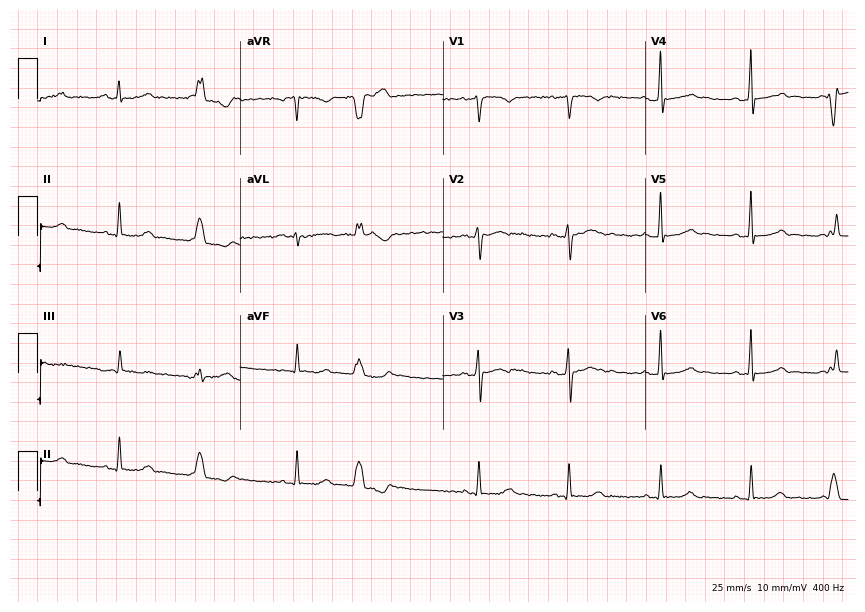
Electrocardiogram (8.3-second recording at 400 Hz), a female, 43 years old. Of the six screened findings (first-degree AV block, right bundle branch block (RBBB), left bundle branch block (LBBB), sinus bradycardia, atrial fibrillation (AF), sinus tachycardia), none is recorded.